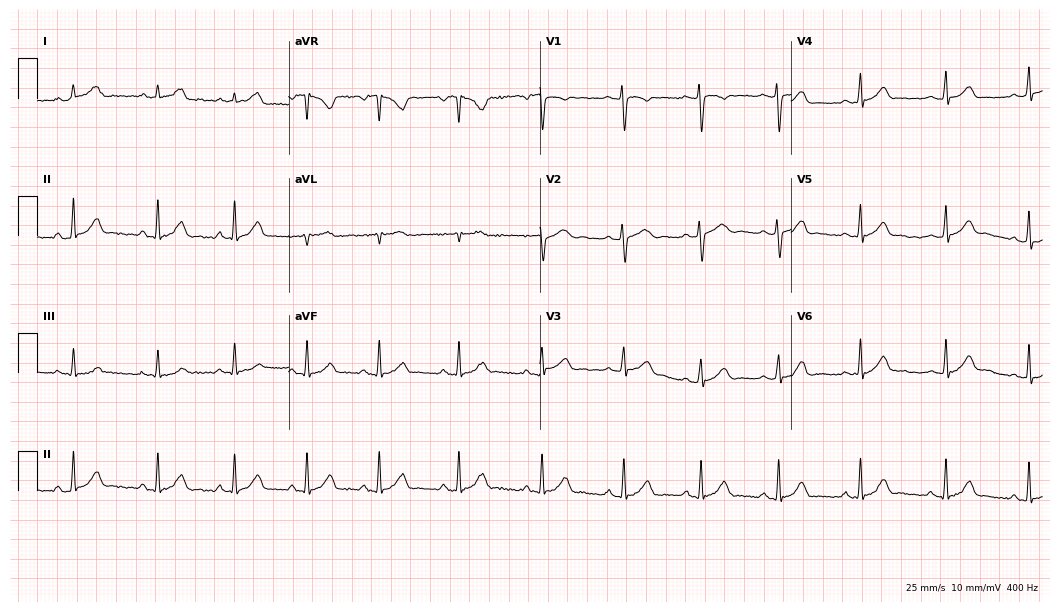
12-lead ECG from a female, 17 years old (10.2-second recording at 400 Hz). Recorded interpretation: within normal limits.